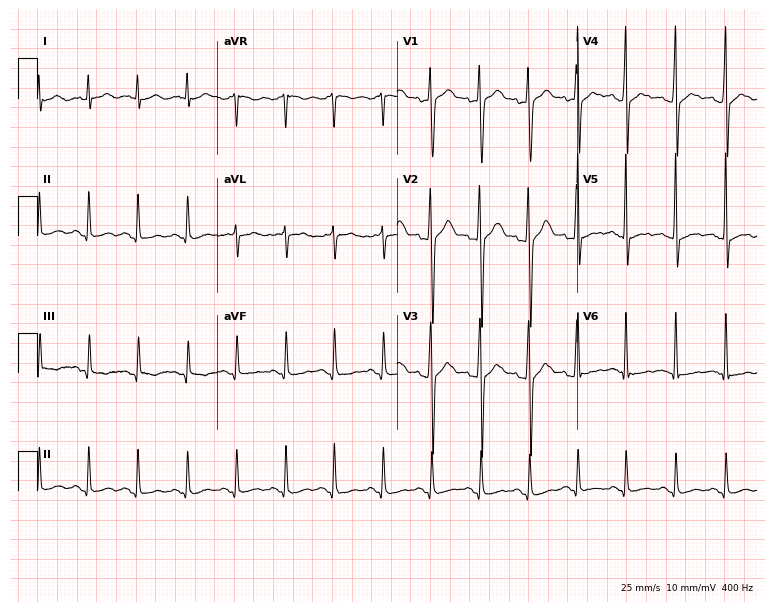
Resting 12-lead electrocardiogram (7.3-second recording at 400 Hz). Patient: a male, 30 years old. The tracing shows sinus tachycardia (a sinus rate of 100 beats per minute or more).